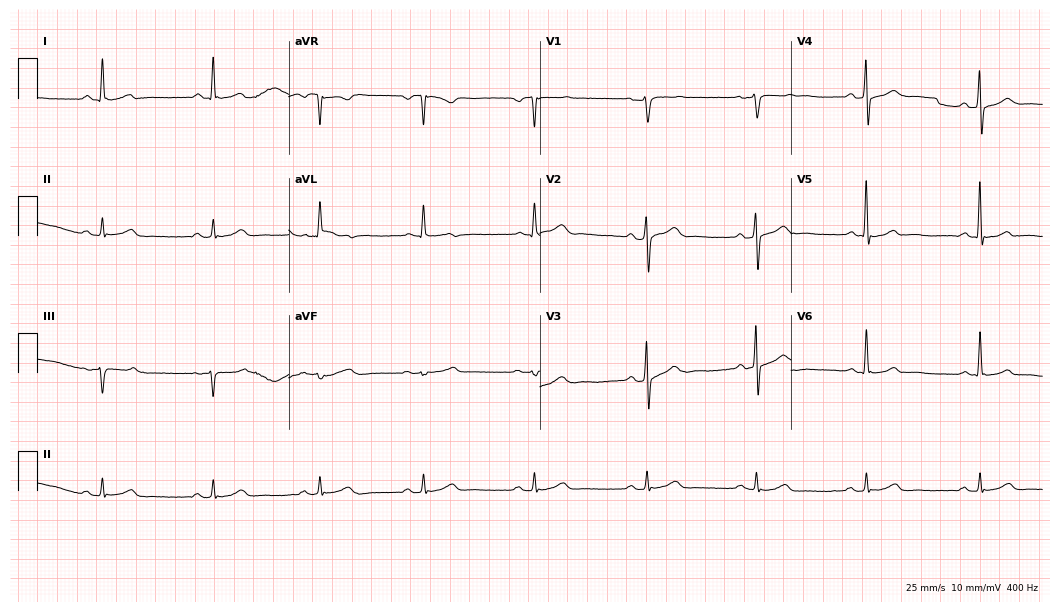
Standard 12-lead ECG recorded from a man, 57 years old. Read as a normal ECG.